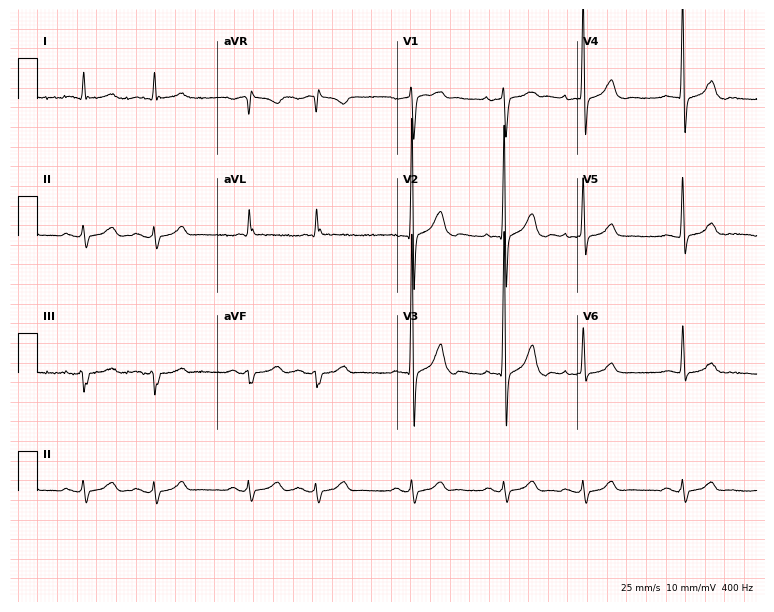
Resting 12-lead electrocardiogram (7.3-second recording at 400 Hz). Patient: a male, 84 years old. Read as a normal ECG.